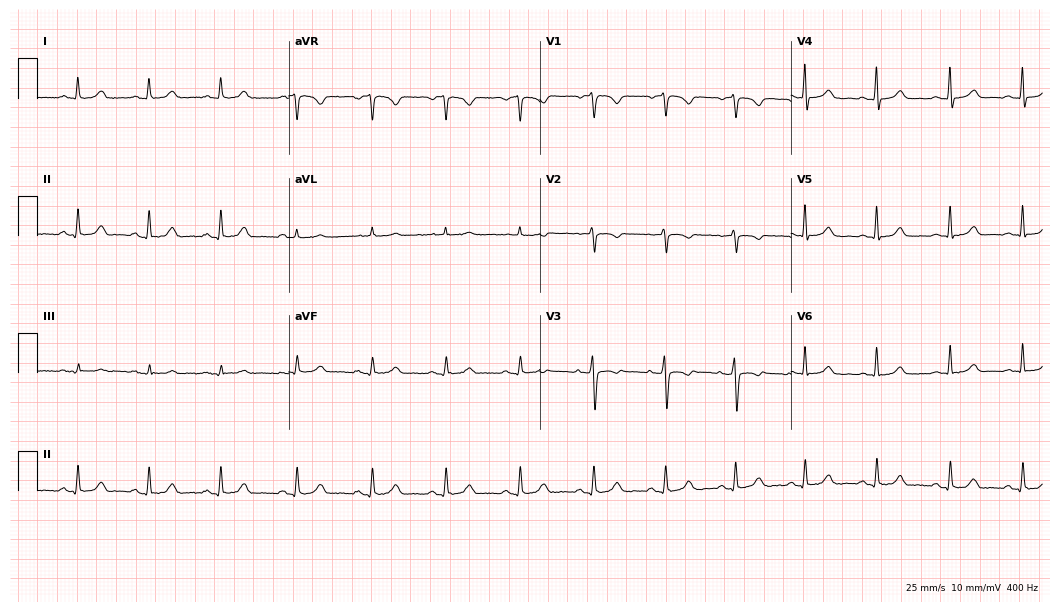
Standard 12-lead ECG recorded from a female patient, 44 years old (10.2-second recording at 400 Hz). None of these six findings is recorded: first-degree AV block, right bundle branch block, left bundle branch block, sinus bradycardia, atrial fibrillation, sinus tachycardia.